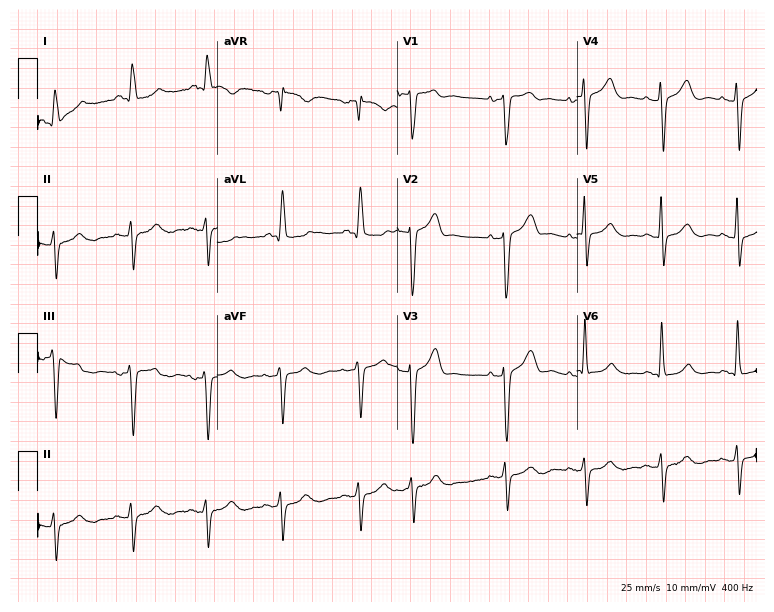
ECG — an 82-year-old male patient. Screened for six findings — first-degree AV block, right bundle branch block, left bundle branch block, sinus bradycardia, atrial fibrillation, sinus tachycardia — none is recorded.